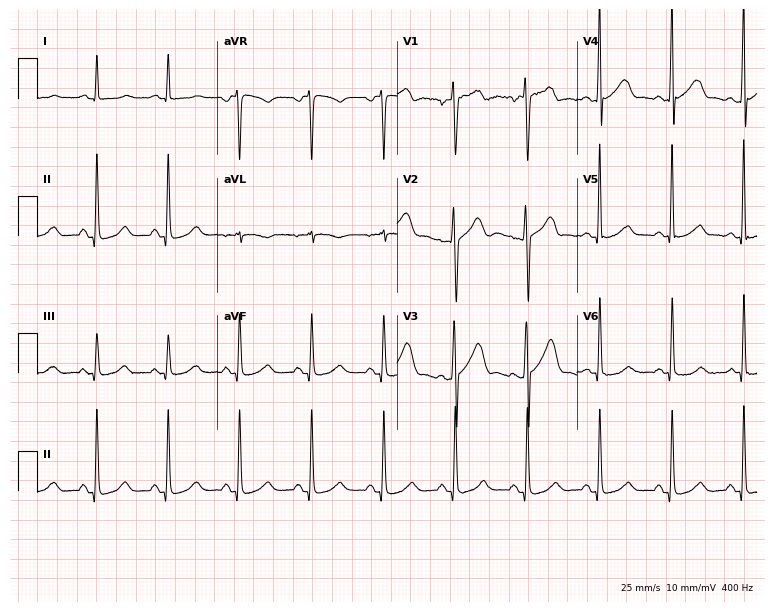
12-lead ECG from a 39-year-old male (7.3-second recording at 400 Hz). No first-degree AV block, right bundle branch block, left bundle branch block, sinus bradycardia, atrial fibrillation or sinus tachycardia recorded for this tracing. Findings outside these six are not listed.